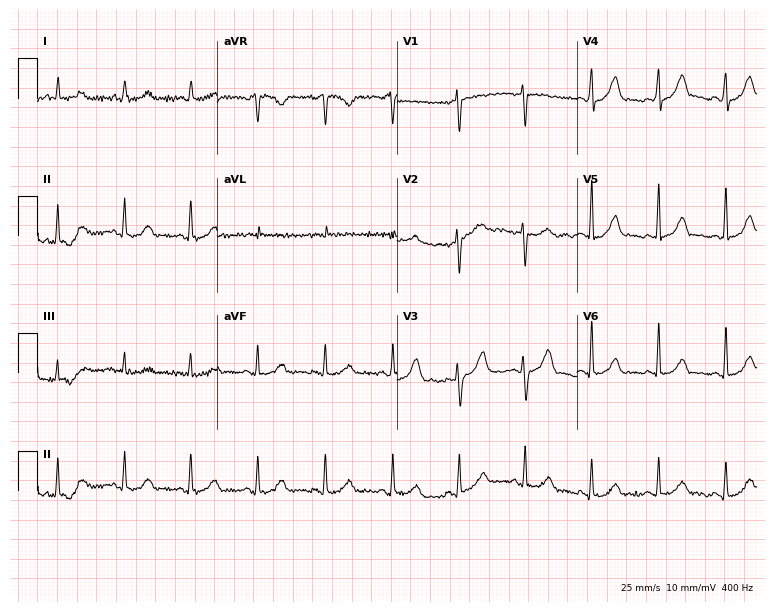
12-lead ECG from a female, 57 years old. Screened for six findings — first-degree AV block, right bundle branch block, left bundle branch block, sinus bradycardia, atrial fibrillation, sinus tachycardia — none is recorded. Other findings, if any, are not listed.